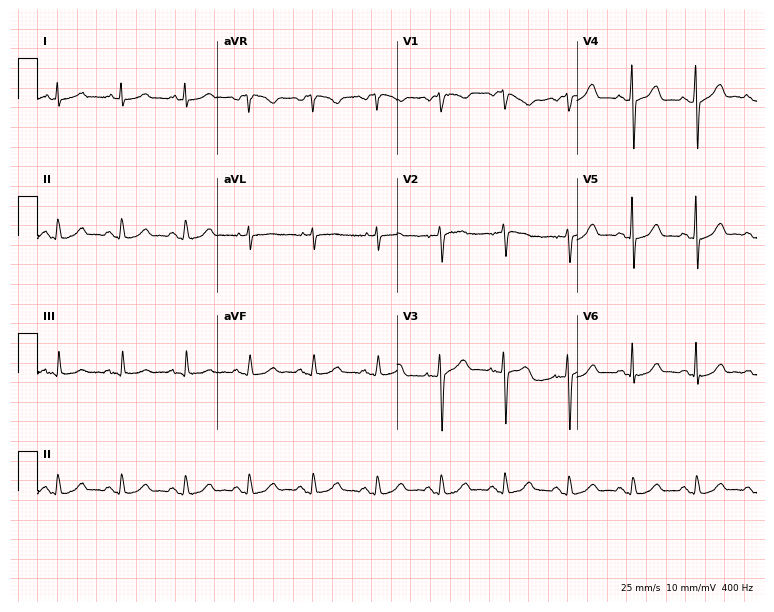
12-lead ECG from a 68-year-old male patient (7.3-second recording at 400 Hz). Recorded interpretation: within normal limits.